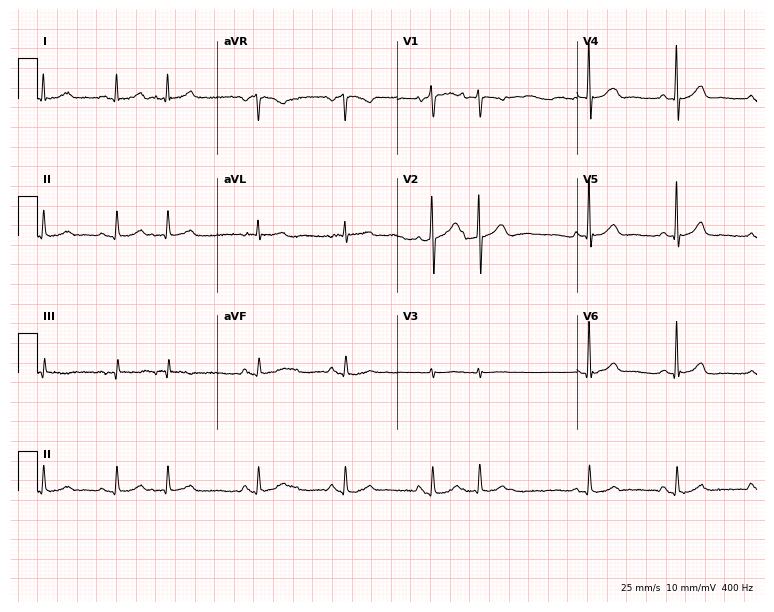
Standard 12-lead ECG recorded from a 71-year-old man. None of these six findings is recorded: first-degree AV block, right bundle branch block, left bundle branch block, sinus bradycardia, atrial fibrillation, sinus tachycardia.